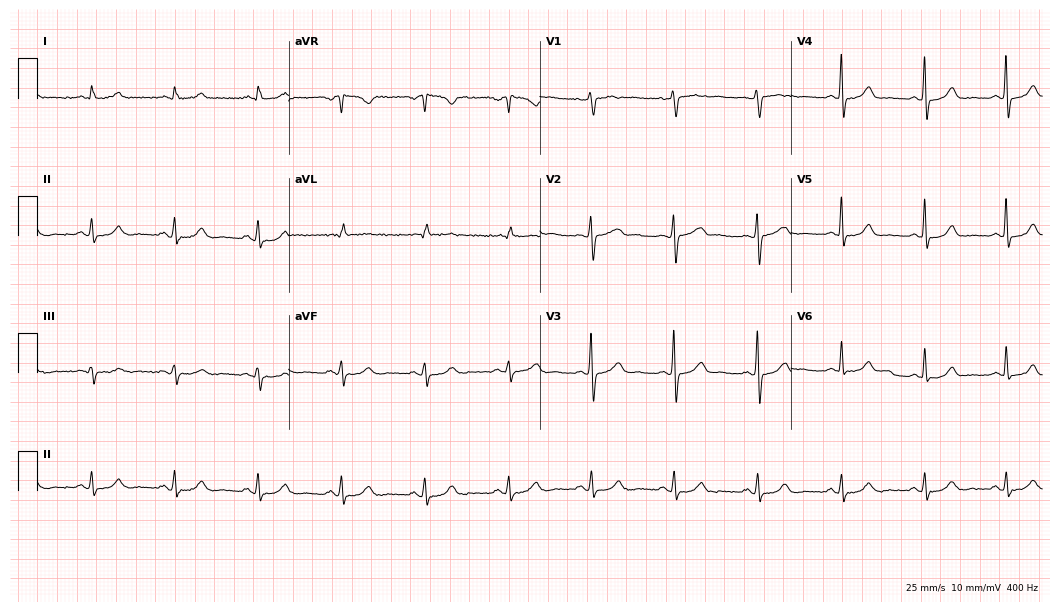
12-lead ECG from a man, 63 years old. Labelled as a normal ECG.